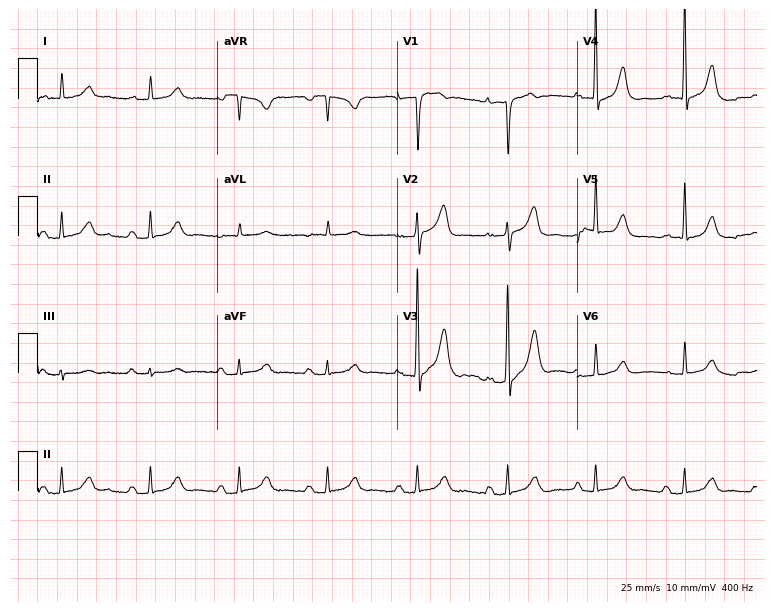
Resting 12-lead electrocardiogram. Patient: a man, 83 years old. None of these six findings is recorded: first-degree AV block, right bundle branch block, left bundle branch block, sinus bradycardia, atrial fibrillation, sinus tachycardia. Only these six findings were labelled.